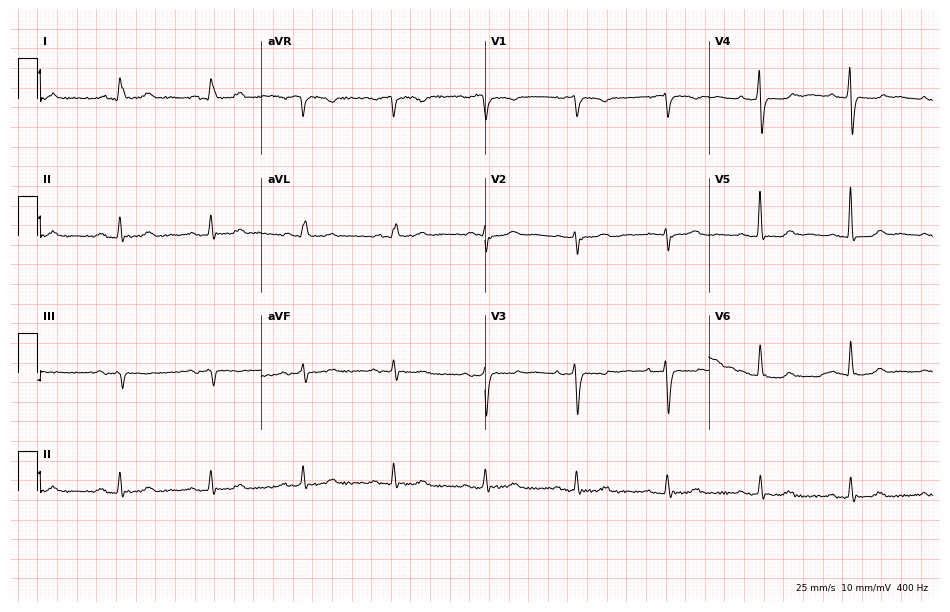
Electrocardiogram, a 75-year-old female patient. Of the six screened findings (first-degree AV block, right bundle branch block, left bundle branch block, sinus bradycardia, atrial fibrillation, sinus tachycardia), none is recorded.